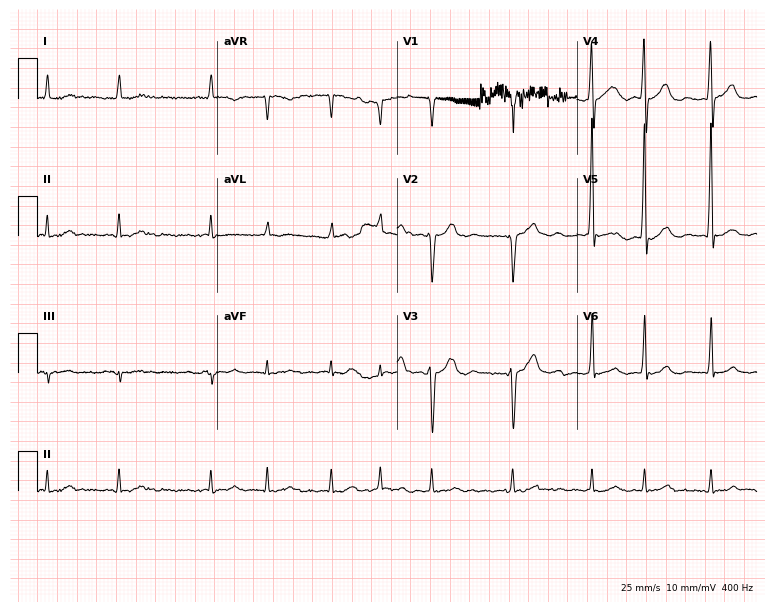
Resting 12-lead electrocardiogram. Patient: a 78-year-old man. The tracing shows atrial fibrillation.